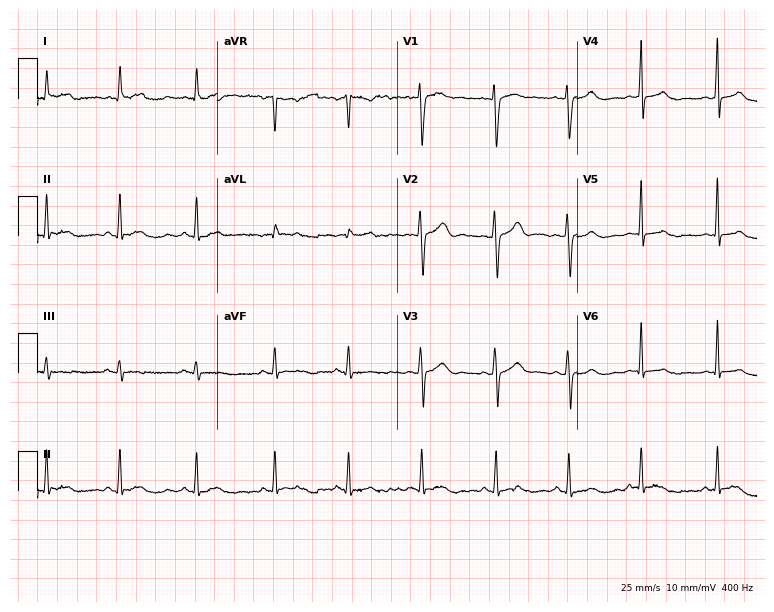
ECG — a woman, 29 years old. Labelled as a normal ECG.